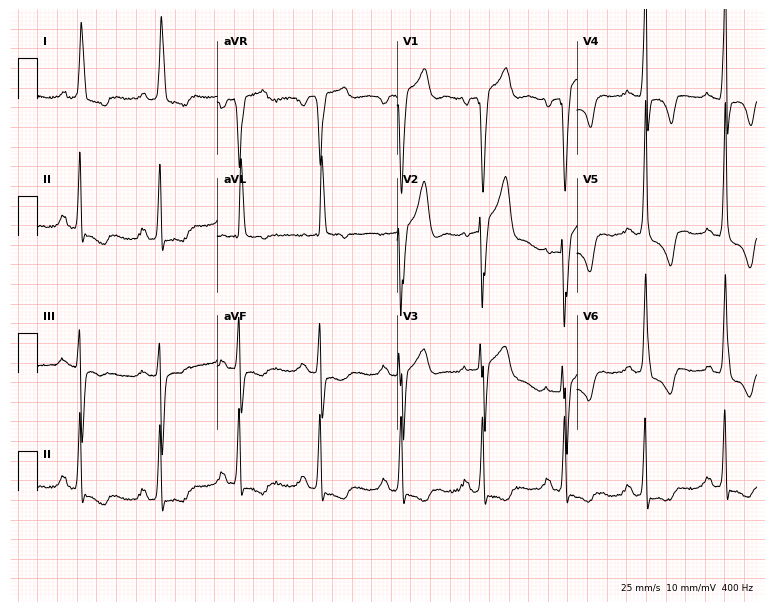
ECG (7.3-second recording at 400 Hz) — a 51-year-old man. Screened for six findings — first-degree AV block, right bundle branch block, left bundle branch block, sinus bradycardia, atrial fibrillation, sinus tachycardia — none is recorded.